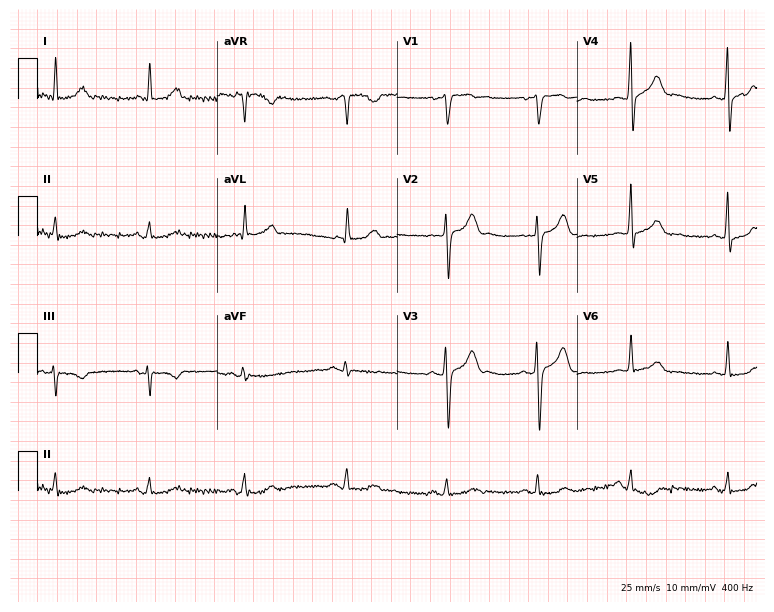
12-lead ECG from a man, 47 years old (7.3-second recording at 400 Hz). Recorded interpretation: within normal limits.